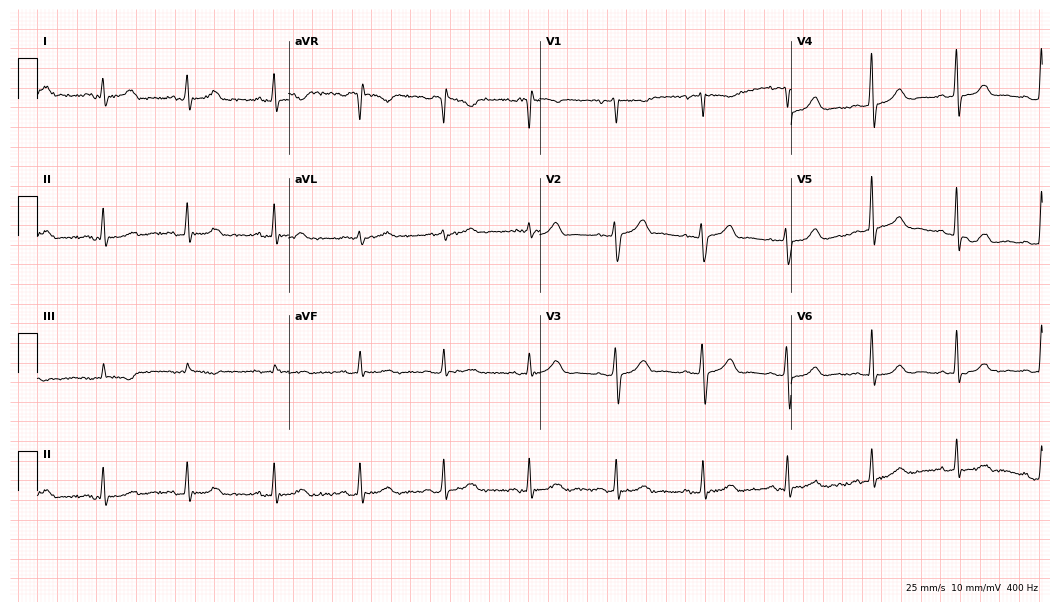
12-lead ECG from a female, 61 years old (10.2-second recording at 400 Hz). Recorded interpretation: within normal limits.